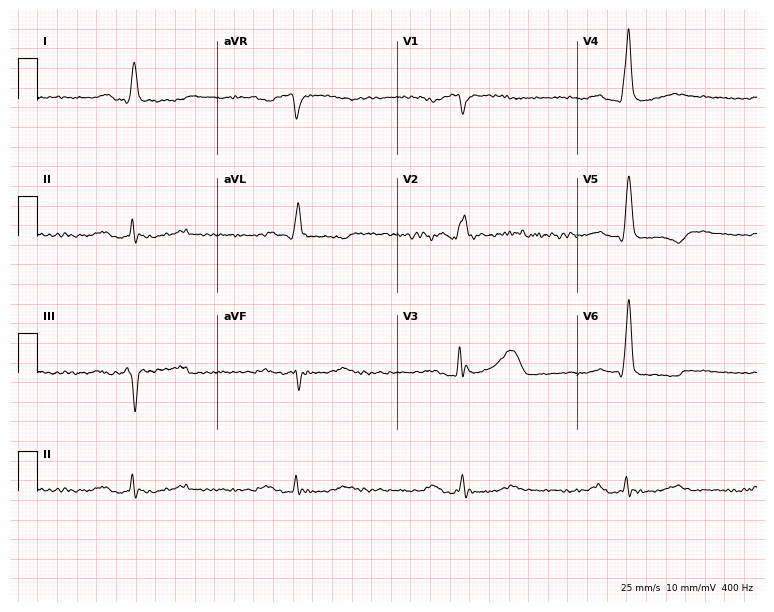
12-lead ECG from a man, 58 years old. Shows left bundle branch block.